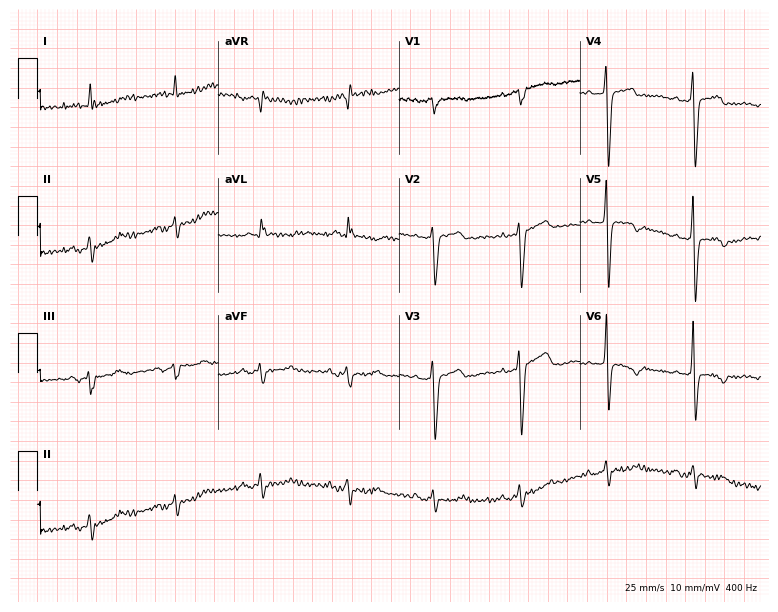
12-lead ECG (7.4-second recording at 400 Hz) from a woman, 67 years old. Screened for six findings — first-degree AV block, right bundle branch block, left bundle branch block, sinus bradycardia, atrial fibrillation, sinus tachycardia — none is recorded.